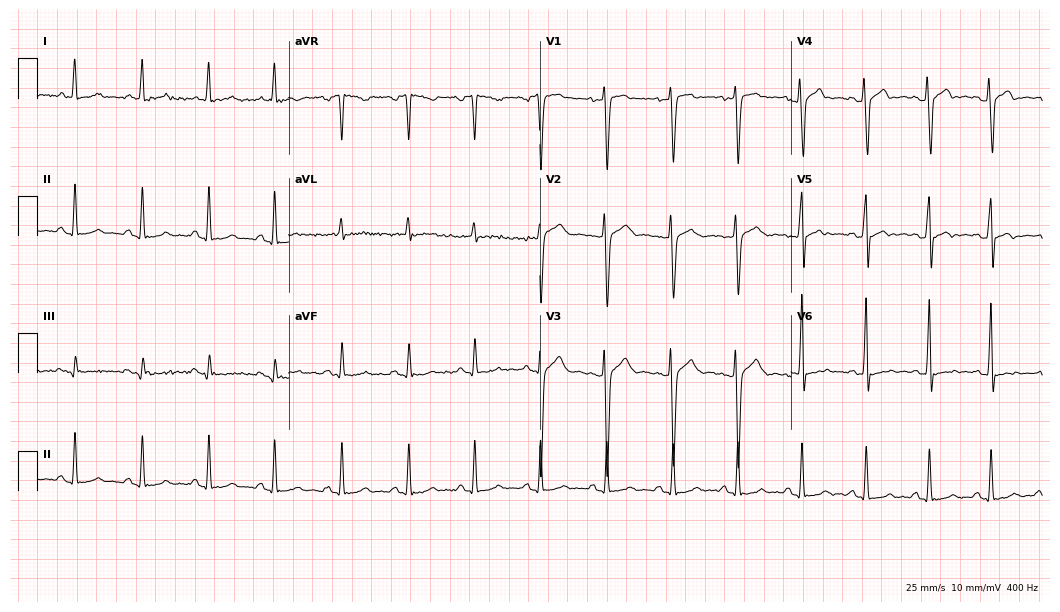
ECG (10.2-second recording at 400 Hz) — a man, 29 years old. Screened for six findings — first-degree AV block, right bundle branch block, left bundle branch block, sinus bradycardia, atrial fibrillation, sinus tachycardia — none is recorded. Other findings, if any, are not listed.